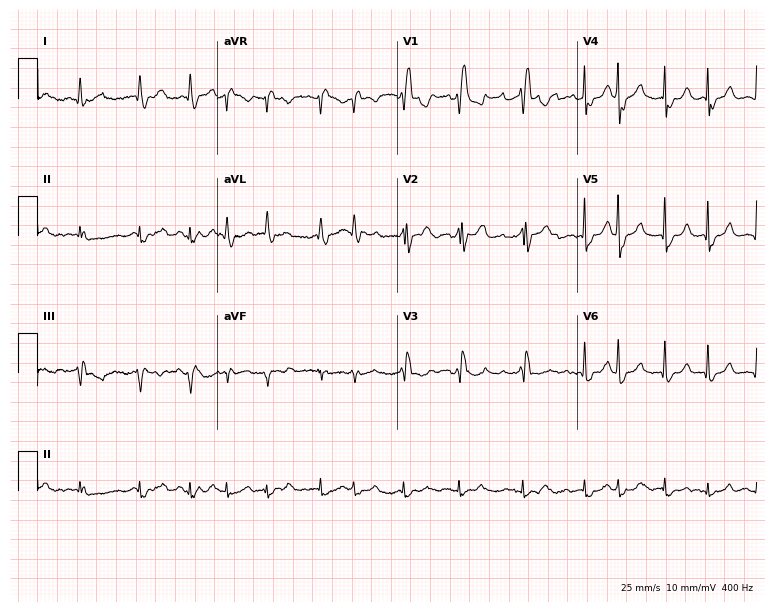
12-lead ECG from a 77-year-old female patient (7.3-second recording at 400 Hz). Shows right bundle branch block, atrial fibrillation.